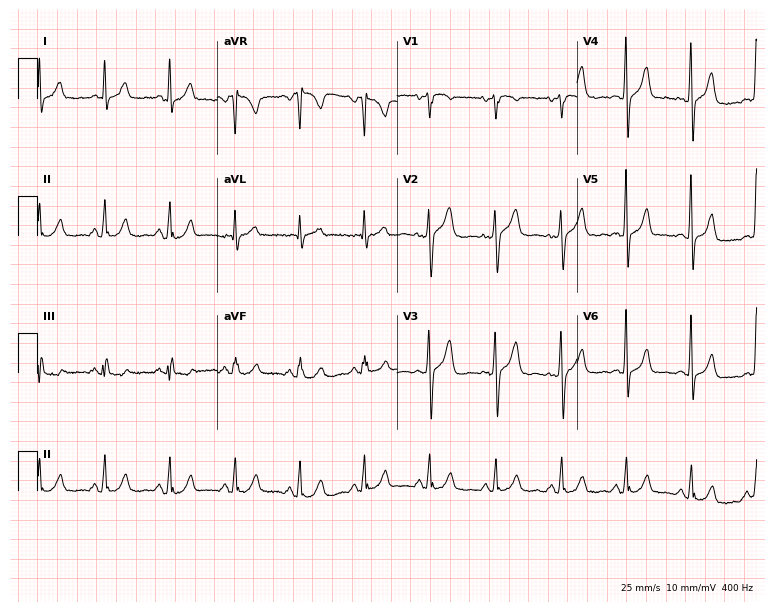
ECG (7.3-second recording at 400 Hz) — a woman, 59 years old. Labelled as a normal ECG.